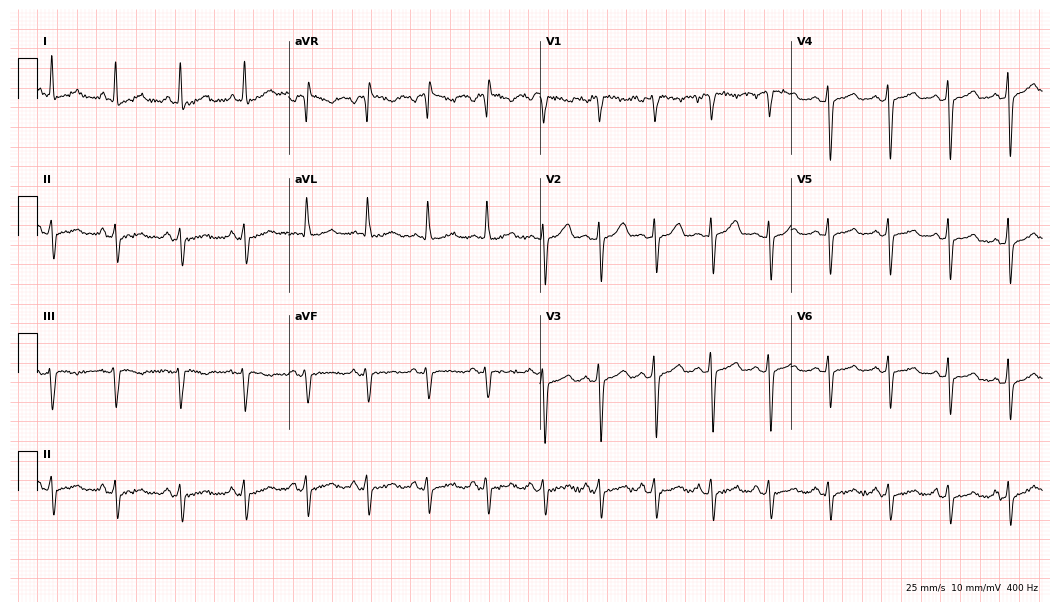
12-lead ECG from a 58-year-old woman. Screened for six findings — first-degree AV block, right bundle branch block, left bundle branch block, sinus bradycardia, atrial fibrillation, sinus tachycardia — none is recorded.